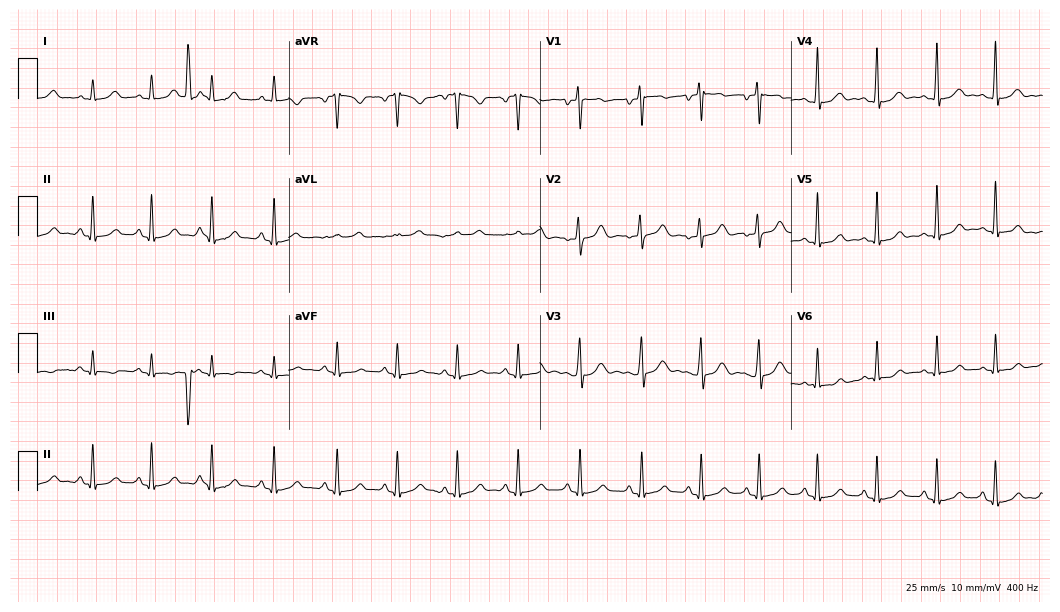
Standard 12-lead ECG recorded from a female, 22 years old (10.2-second recording at 400 Hz). Read as a normal ECG.